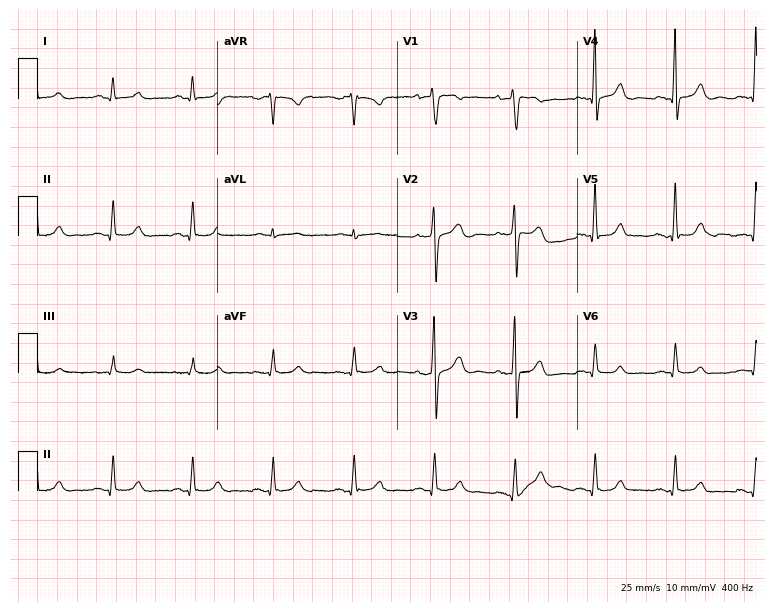
Resting 12-lead electrocardiogram (7.3-second recording at 400 Hz). Patient: a 66-year-old male. Read as a normal ECG.